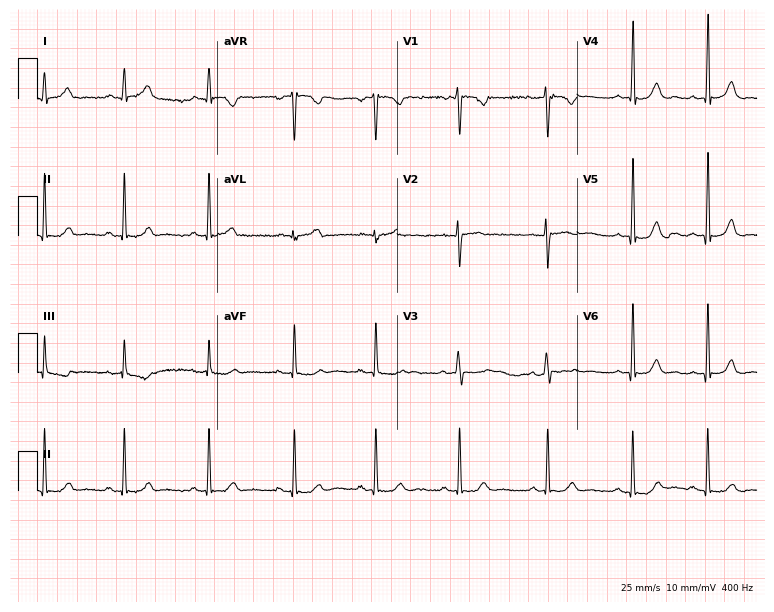
12-lead ECG (7.3-second recording at 400 Hz) from a 22-year-old woman. Labelled as a normal ECG.